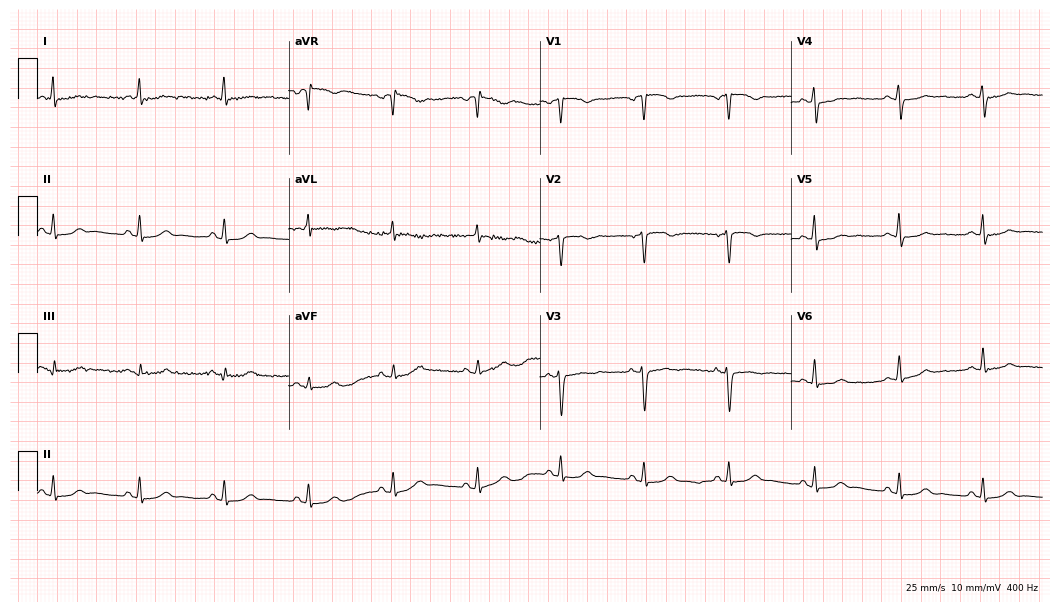
12-lead ECG (10.2-second recording at 400 Hz) from a 55-year-old female. Screened for six findings — first-degree AV block, right bundle branch block, left bundle branch block, sinus bradycardia, atrial fibrillation, sinus tachycardia — none is recorded.